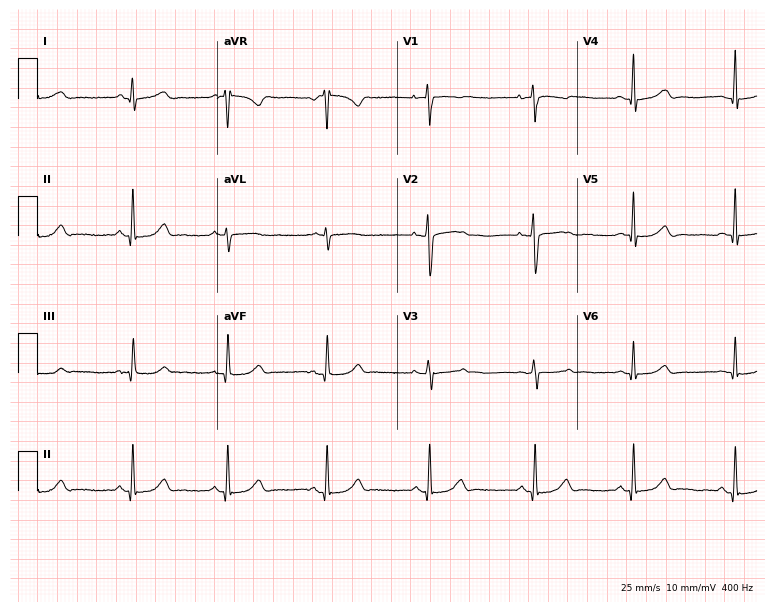
Standard 12-lead ECG recorded from a female patient, 47 years old. Read as a normal ECG.